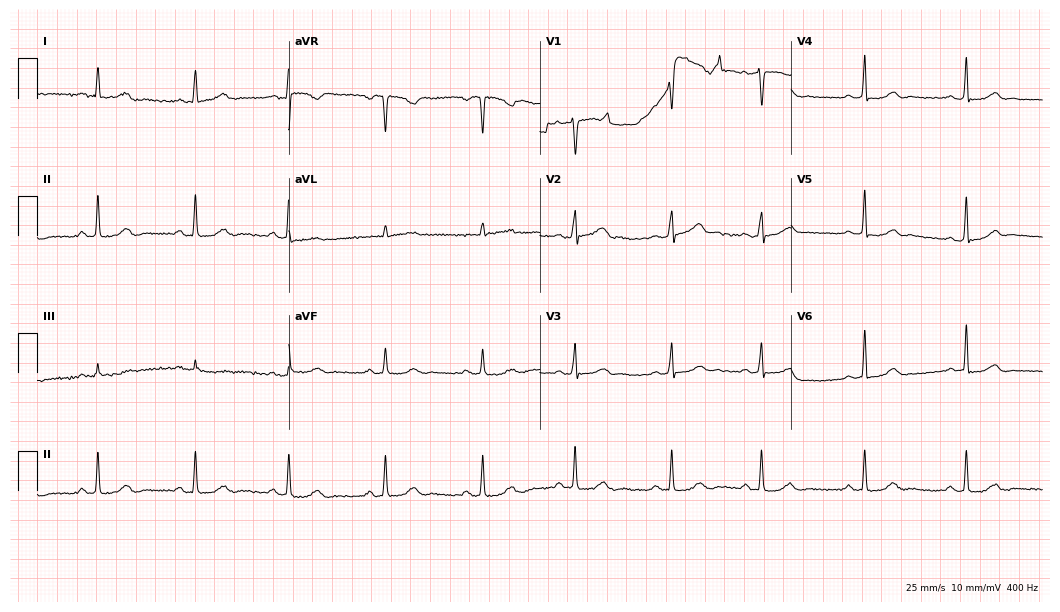
Resting 12-lead electrocardiogram. Patient: a woman, 27 years old. Read as a normal ECG.